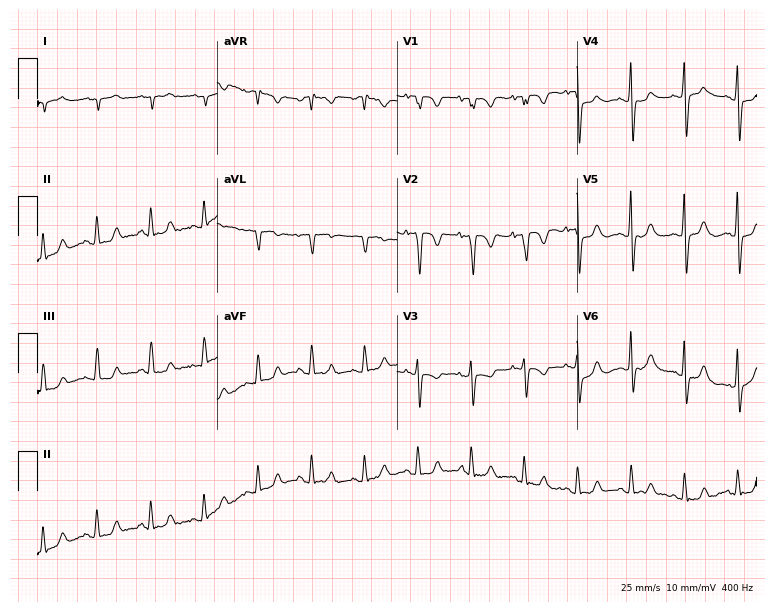
Standard 12-lead ECG recorded from a 60-year-old woman (7.3-second recording at 400 Hz). None of these six findings is recorded: first-degree AV block, right bundle branch block, left bundle branch block, sinus bradycardia, atrial fibrillation, sinus tachycardia. Only these six findings were labelled.